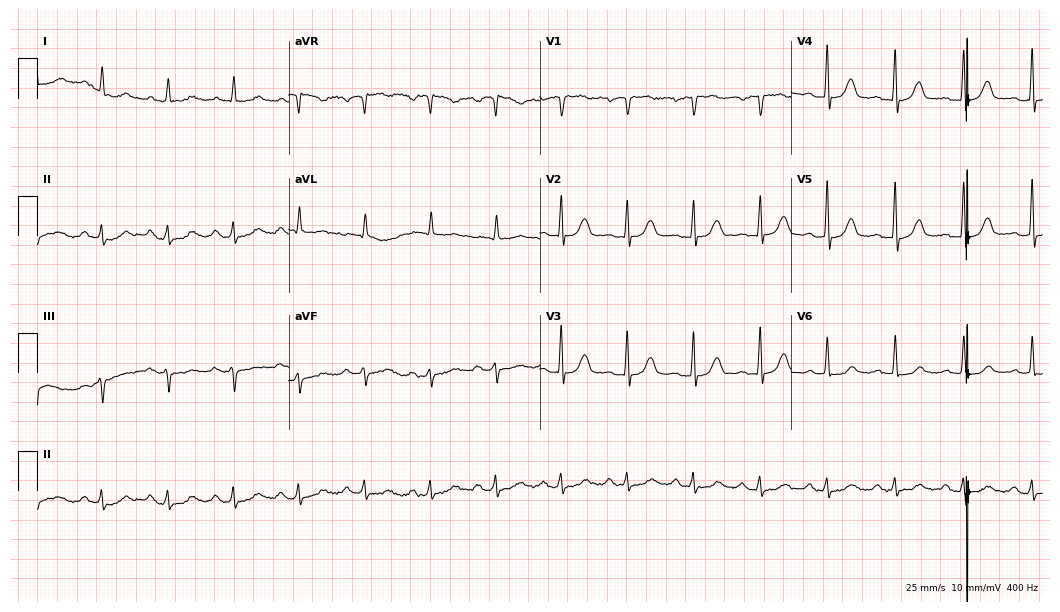
ECG (10.2-second recording at 400 Hz) — a 71-year-old male patient. Labelled as a normal ECG.